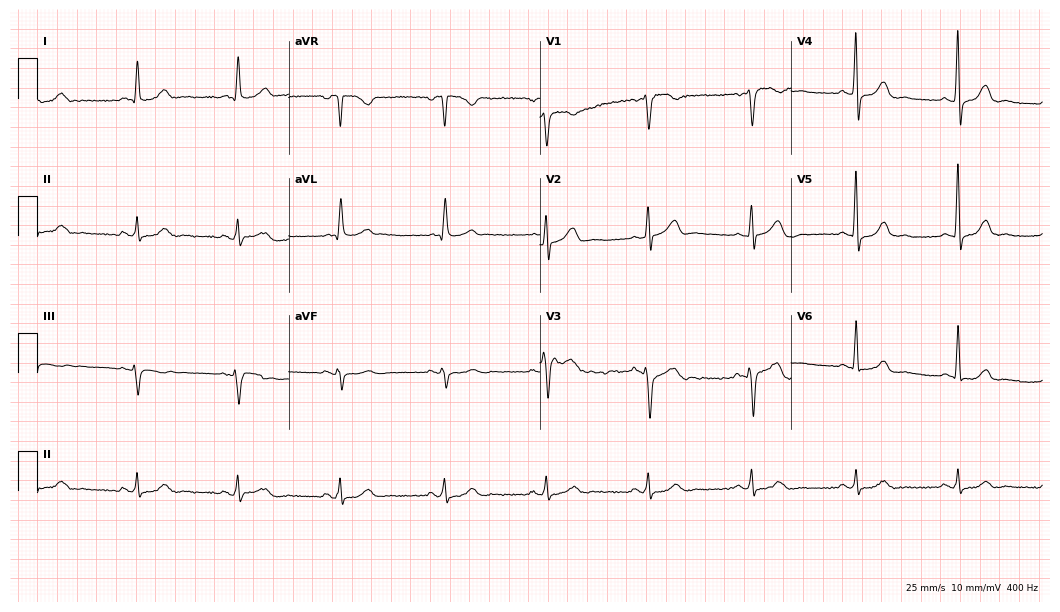
Standard 12-lead ECG recorded from a man, 58 years old (10.2-second recording at 400 Hz). Read as a normal ECG.